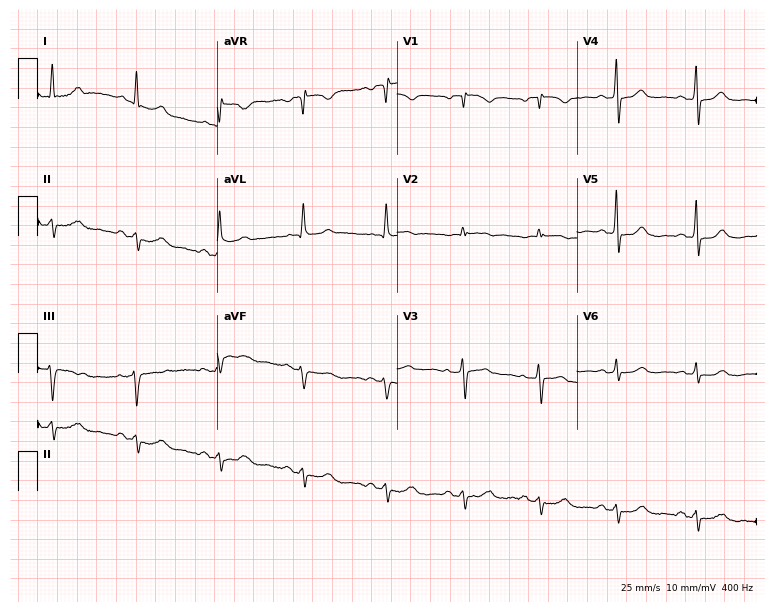
Standard 12-lead ECG recorded from a female, 59 years old (7.3-second recording at 400 Hz). None of these six findings is recorded: first-degree AV block, right bundle branch block (RBBB), left bundle branch block (LBBB), sinus bradycardia, atrial fibrillation (AF), sinus tachycardia.